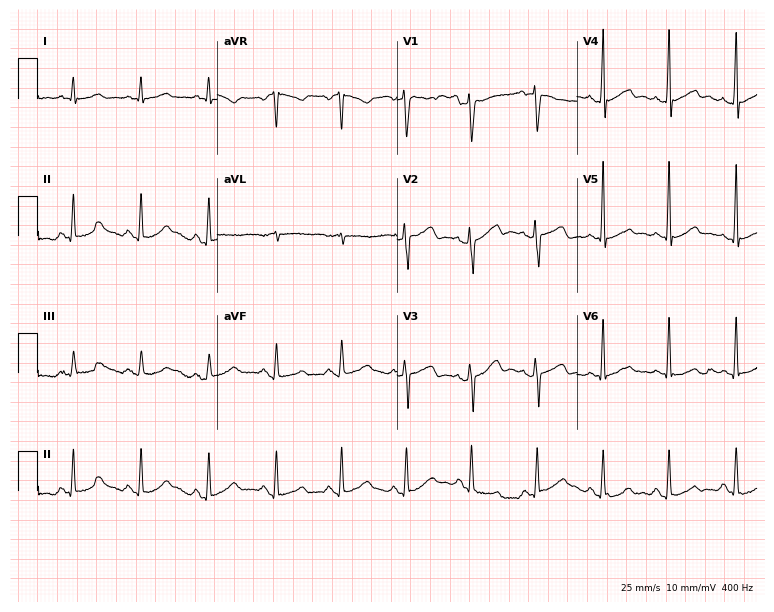
Electrocardiogram (7.3-second recording at 400 Hz), a male, 62 years old. Of the six screened findings (first-degree AV block, right bundle branch block (RBBB), left bundle branch block (LBBB), sinus bradycardia, atrial fibrillation (AF), sinus tachycardia), none is recorded.